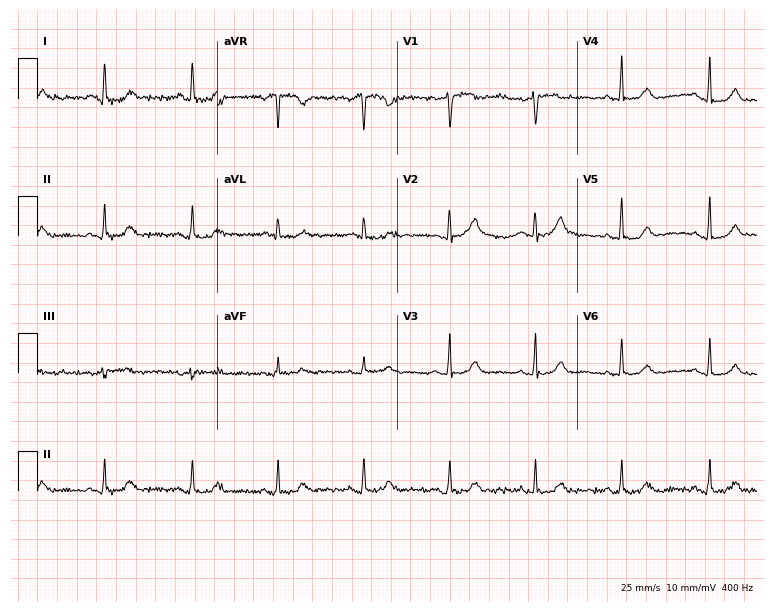
12-lead ECG from a woman, 58 years old (7.3-second recording at 400 Hz). Recorded interpretation: within normal limits.